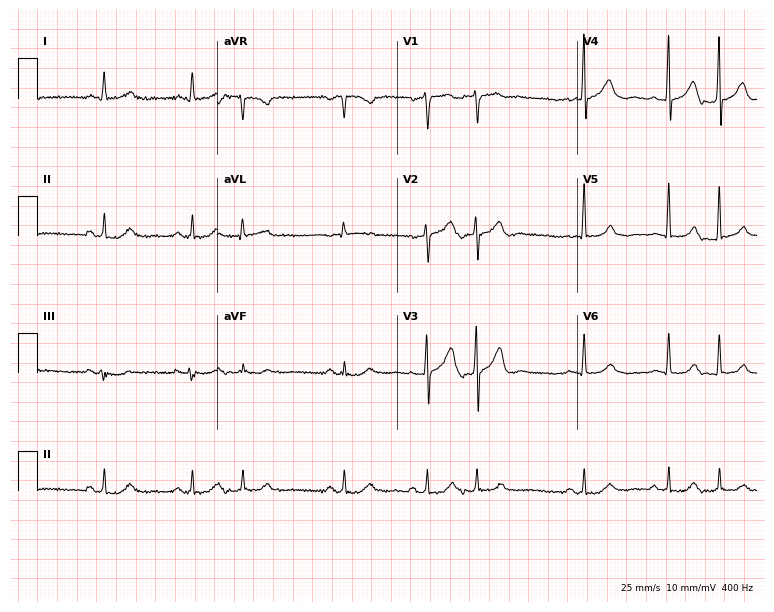
Electrocardiogram (7.3-second recording at 400 Hz), a 71-year-old male patient. Of the six screened findings (first-degree AV block, right bundle branch block, left bundle branch block, sinus bradycardia, atrial fibrillation, sinus tachycardia), none is recorded.